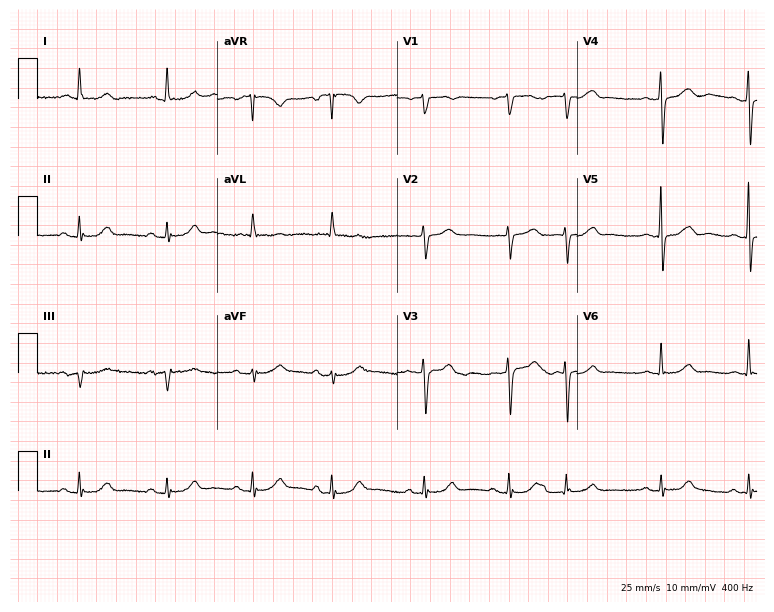
Standard 12-lead ECG recorded from an 85-year-old female (7.3-second recording at 400 Hz). None of these six findings is recorded: first-degree AV block, right bundle branch block, left bundle branch block, sinus bradycardia, atrial fibrillation, sinus tachycardia.